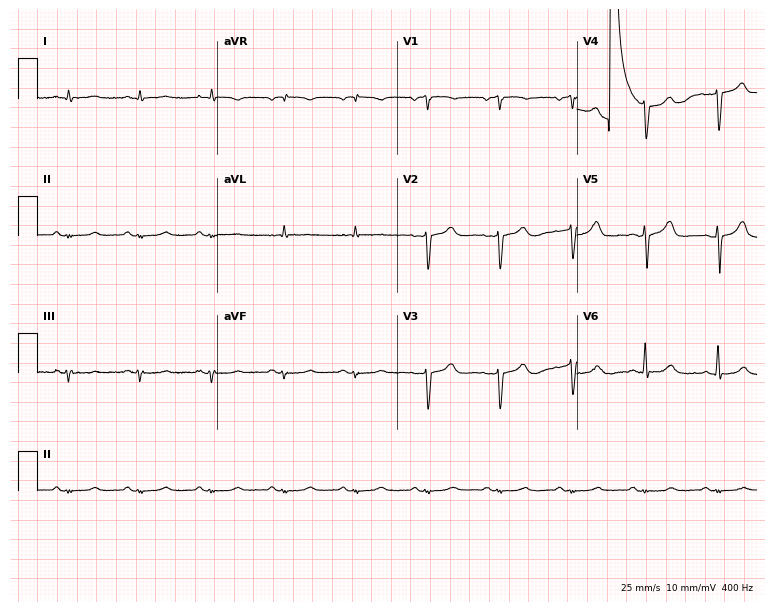
Resting 12-lead electrocardiogram (7.3-second recording at 400 Hz). Patient: an 84-year-old male. None of these six findings is recorded: first-degree AV block, right bundle branch block, left bundle branch block, sinus bradycardia, atrial fibrillation, sinus tachycardia. Only these six findings were labelled.